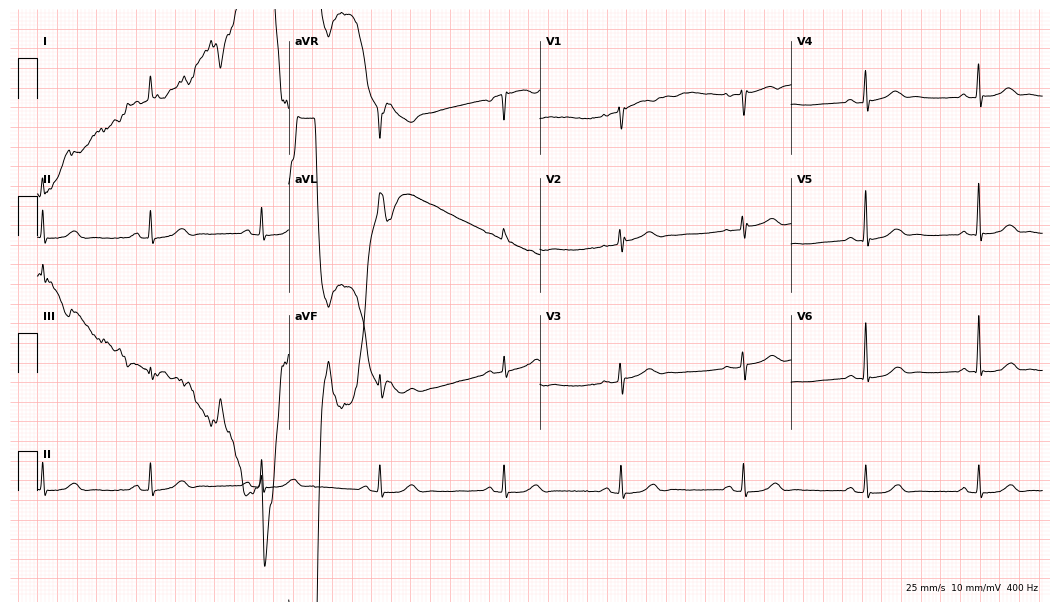
Resting 12-lead electrocardiogram (10.2-second recording at 400 Hz). Patient: a 61-year-old woman. Read as a normal ECG.